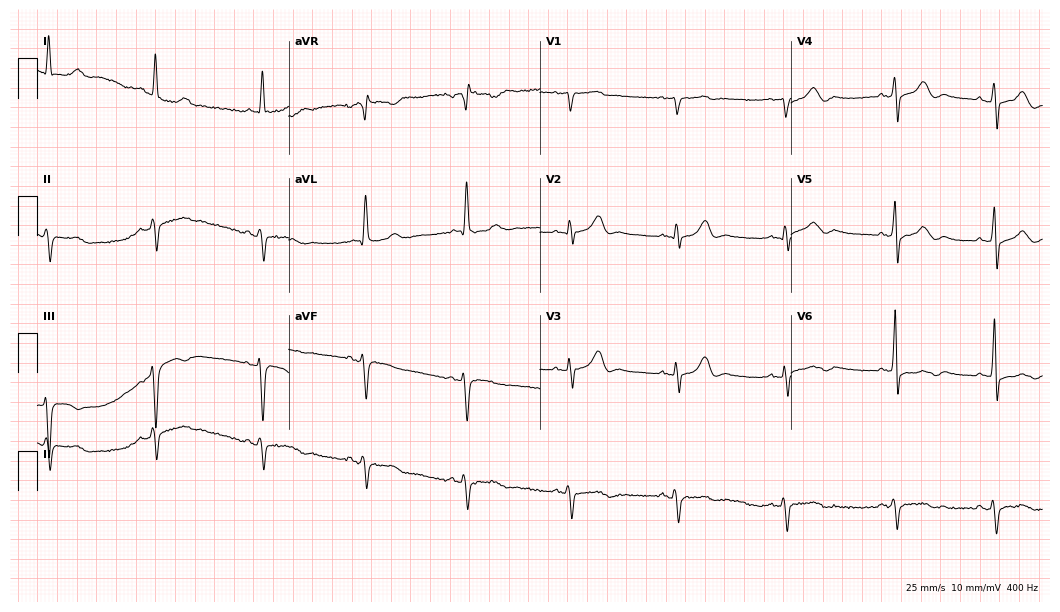
12-lead ECG (10.2-second recording at 400 Hz) from a 78-year-old male. Screened for six findings — first-degree AV block, right bundle branch block (RBBB), left bundle branch block (LBBB), sinus bradycardia, atrial fibrillation (AF), sinus tachycardia — none is recorded.